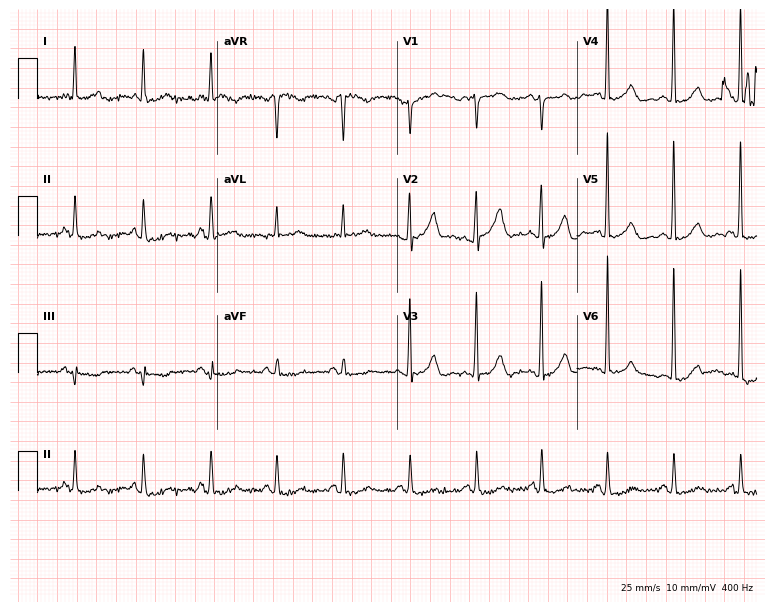
12-lead ECG from an 84-year-old male patient. Labelled as a normal ECG.